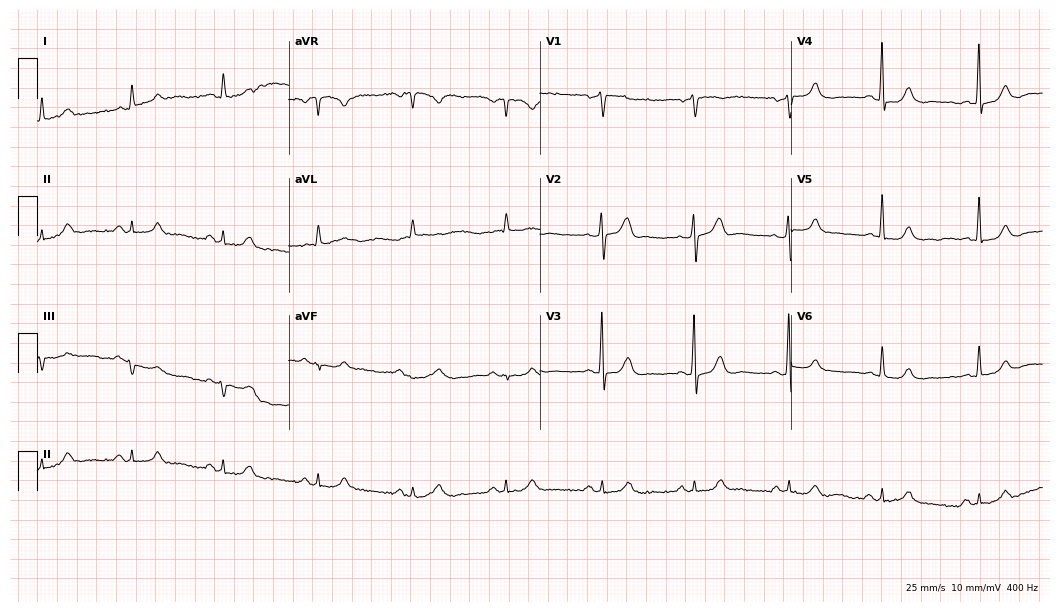
12-lead ECG (10.2-second recording at 400 Hz) from a man, 79 years old. Labelled as a normal ECG.